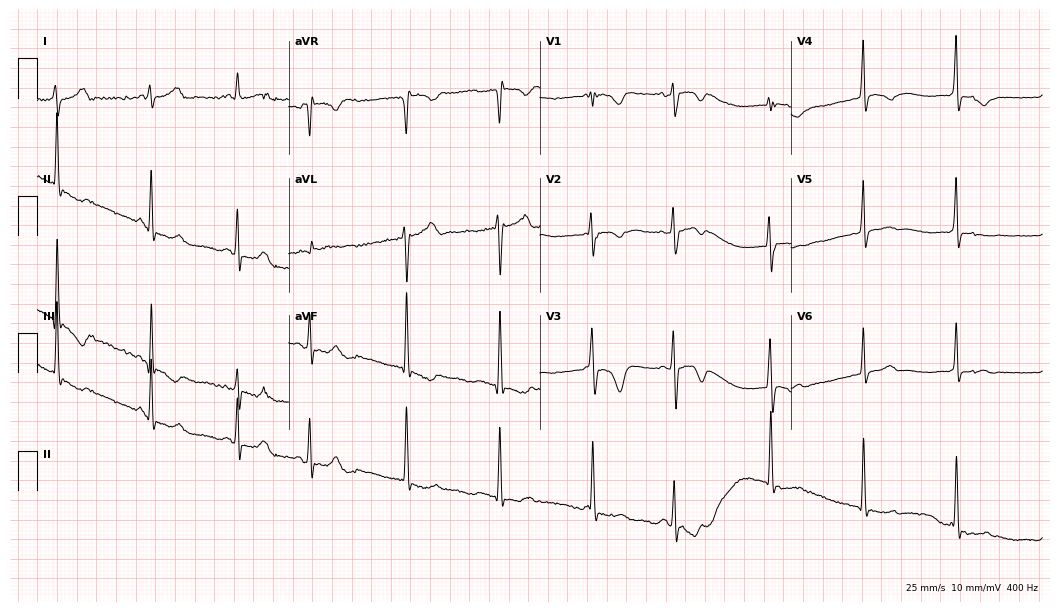
ECG — a 17-year-old female. Screened for six findings — first-degree AV block, right bundle branch block (RBBB), left bundle branch block (LBBB), sinus bradycardia, atrial fibrillation (AF), sinus tachycardia — none is recorded. Findings outside these six are not listed.